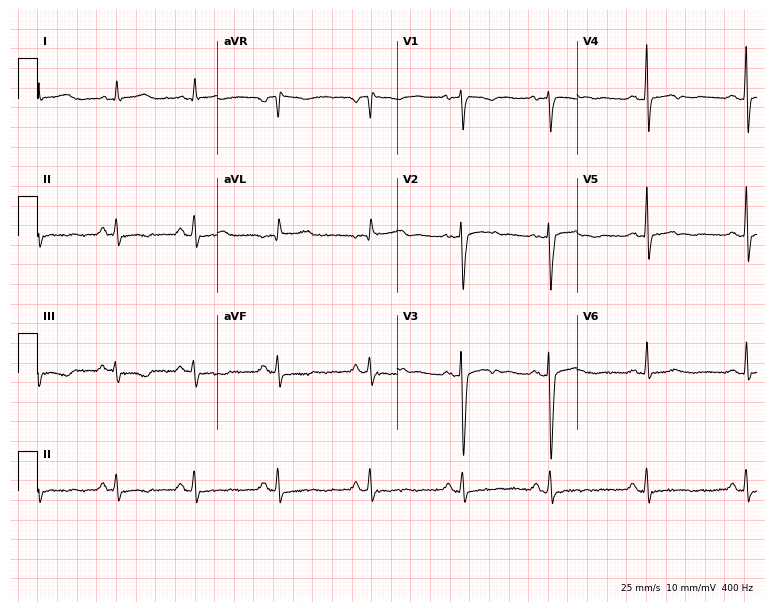
ECG — a woman, 30 years old. Screened for six findings — first-degree AV block, right bundle branch block, left bundle branch block, sinus bradycardia, atrial fibrillation, sinus tachycardia — none is recorded.